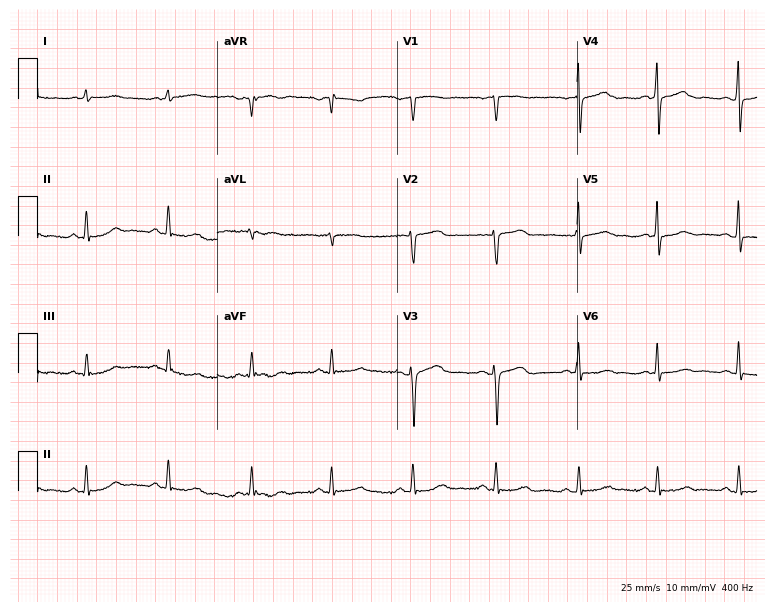
12-lead ECG from a female, 41 years old. Screened for six findings — first-degree AV block, right bundle branch block (RBBB), left bundle branch block (LBBB), sinus bradycardia, atrial fibrillation (AF), sinus tachycardia — none is recorded. Findings outside these six are not listed.